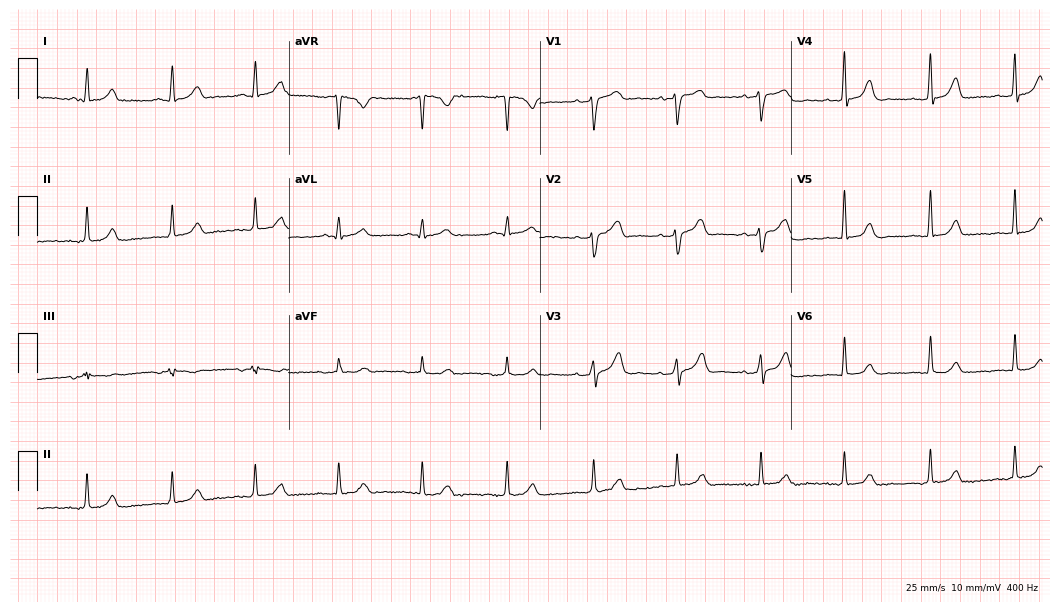
12-lead ECG from a female, 52 years old. Recorded interpretation: within normal limits.